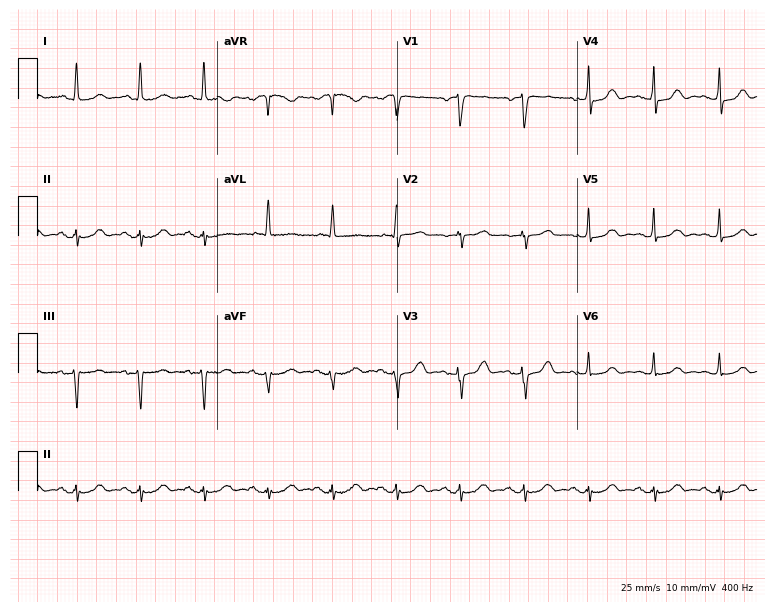
ECG — a 66-year-old female. Screened for six findings — first-degree AV block, right bundle branch block, left bundle branch block, sinus bradycardia, atrial fibrillation, sinus tachycardia — none is recorded. Only these six findings were labelled.